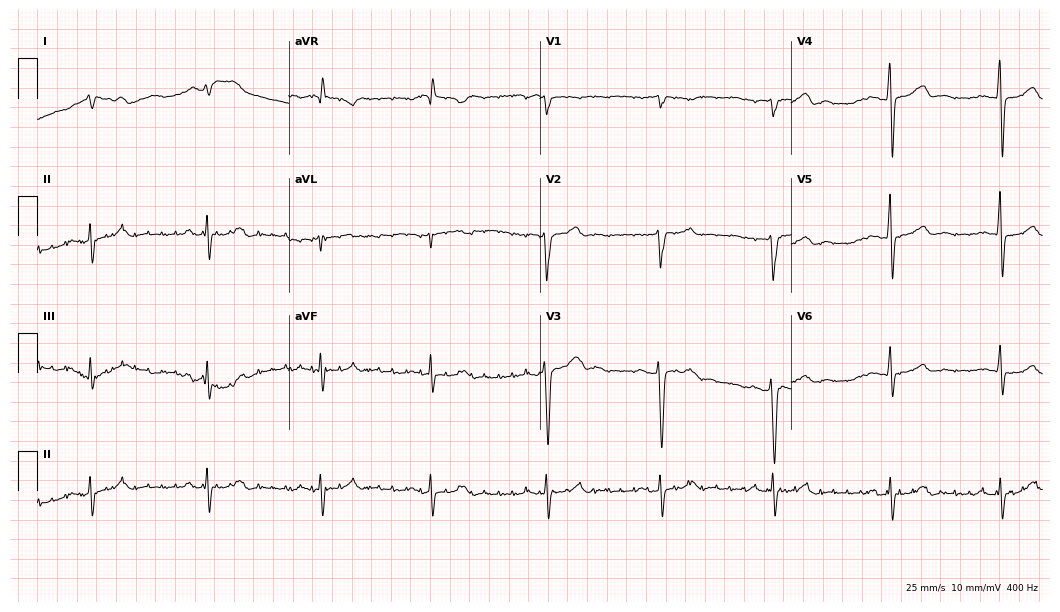
ECG — a 32-year-old male patient. Screened for six findings — first-degree AV block, right bundle branch block (RBBB), left bundle branch block (LBBB), sinus bradycardia, atrial fibrillation (AF), sinus tachycardia — none is recorded.